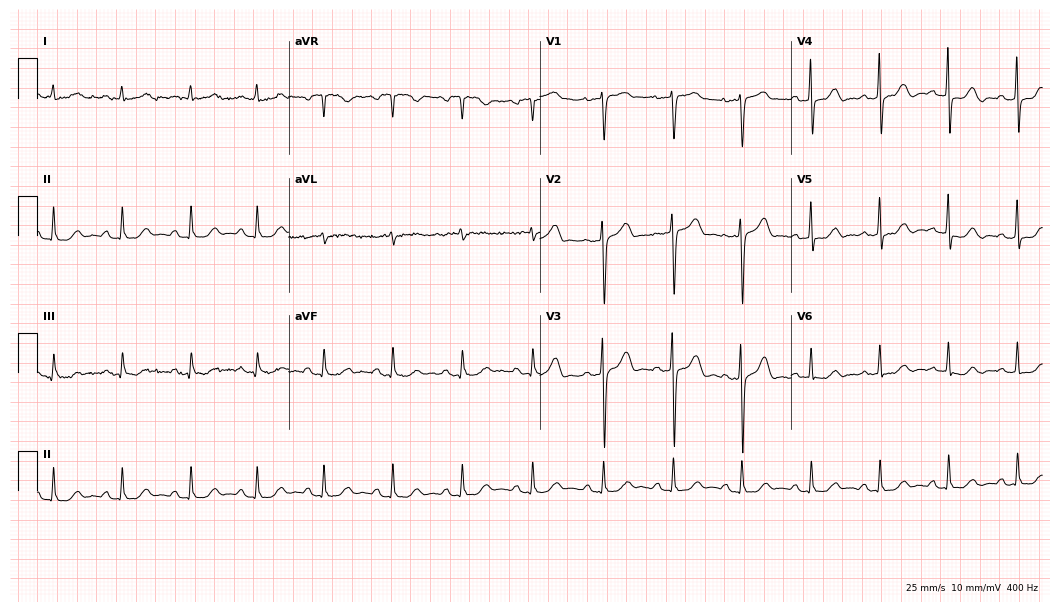
Standard 12-lead ECG recorded from a male patient, 74 years old. None of these six findings is recorded: first-degree AV block, right bundle branch block, left bundle branch block, sinus bradycardia, atrial fibrillation, sinus tachycardia. Findings outside these six are not listed.